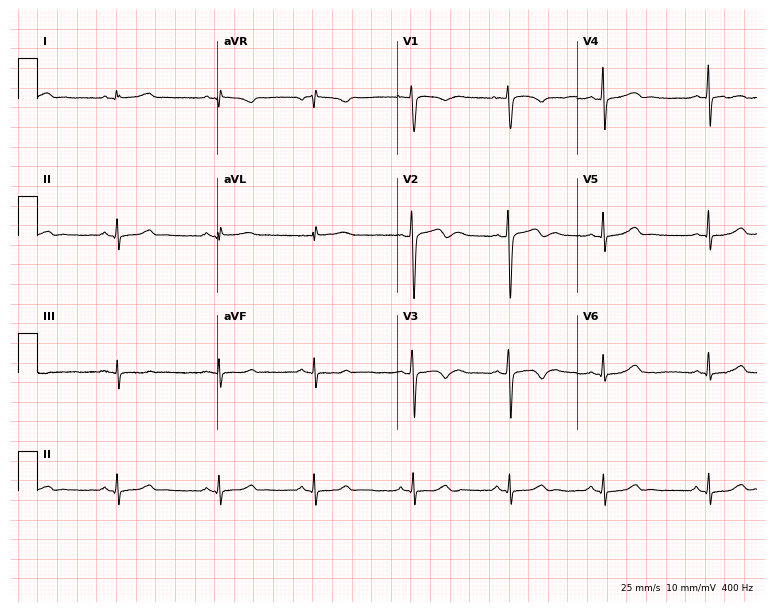
12-lead ECG (7.3-second recording at 400 Hz) from a woman, 24 years old. Screened for six findings — first-degree AV block, right bundle branch block, left bundle branch block, sinus bradycardia, atrial fibrillation, sinus tachycardia — none is recorded.